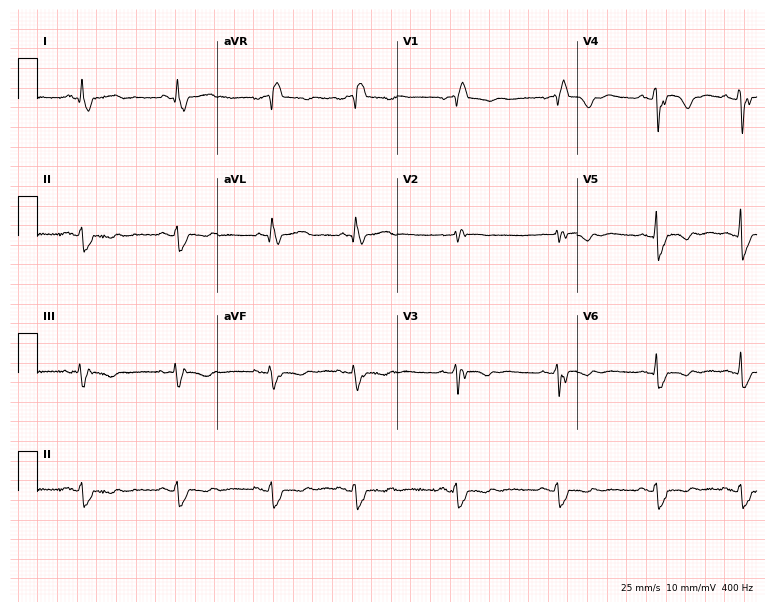
Resting 12-lead electrocardiogram. Patient: a 75-year-old woman. The tracing shows right bundle branch block (RBBB).